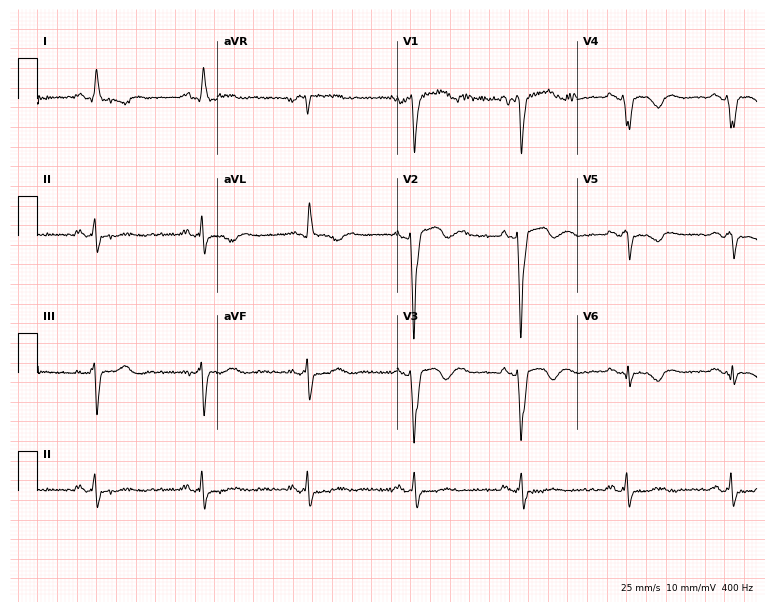
Resting 12-lead electrocardiogram. Patient: a 63-year-old man. None of these six findings is recorded: first-degree AV block, right bundle branch block (RBBB), left bundle branch block (LBBB), sinus bradycardia, atrial fibrillation (AF), sinus tachycardia.